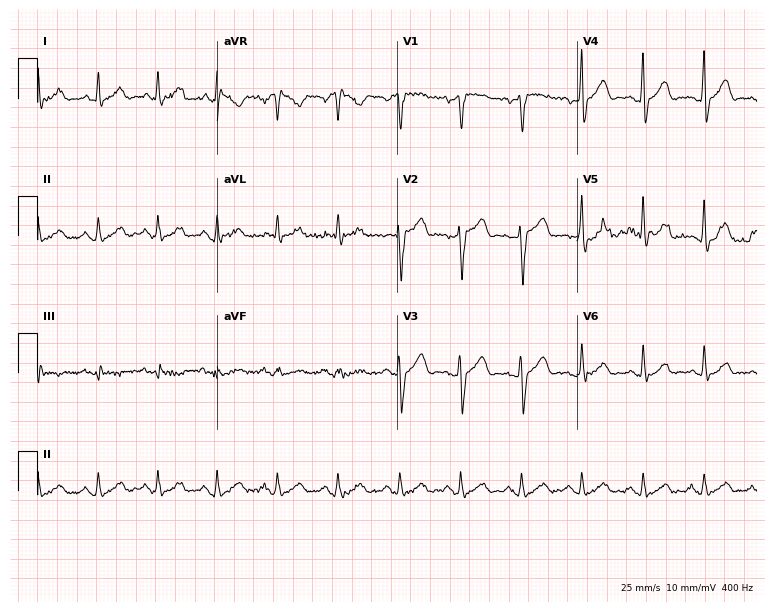
ECG (7.3-second recording at 400 Hz) — a man, 62 years old. Screened for six findings — first-degree AV block, right bundle branch block, left bundle branch block, sinus bradycardia, atrial fibrillation, sinus tachycardia — none is recorded. Findings outside these six are not listed.